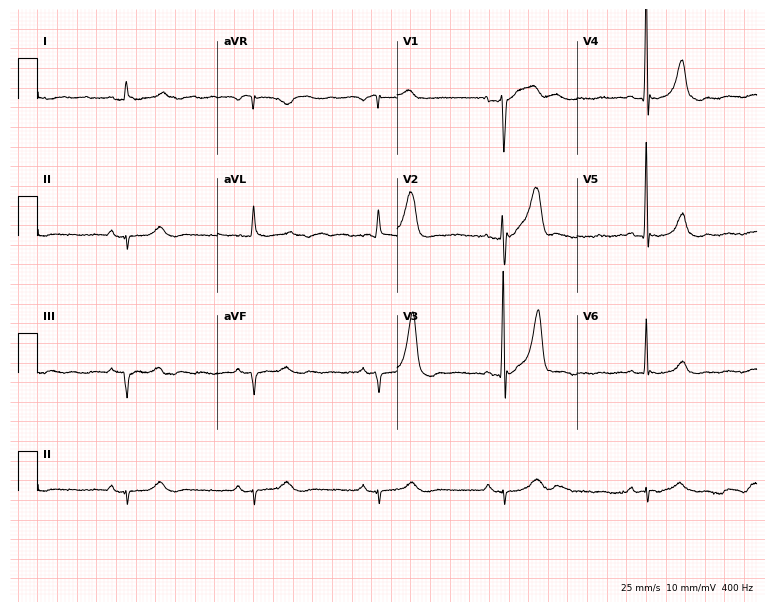
Resting 12-lead electrocardiogram. Patient: an 85-year-old male. The tracing shows sinus bradycardia (a sinus rate of 50 beats per minute or less).